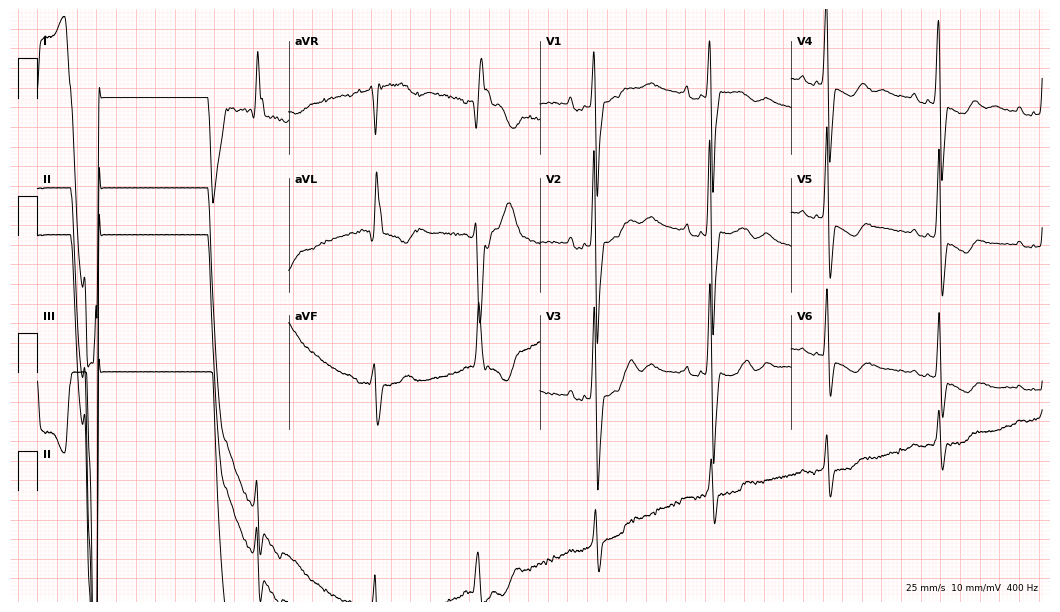
Resting 12-lead electrocardiogram. Patient: a male, 73 years old. The tracing shows atrial fibrillation (AF).